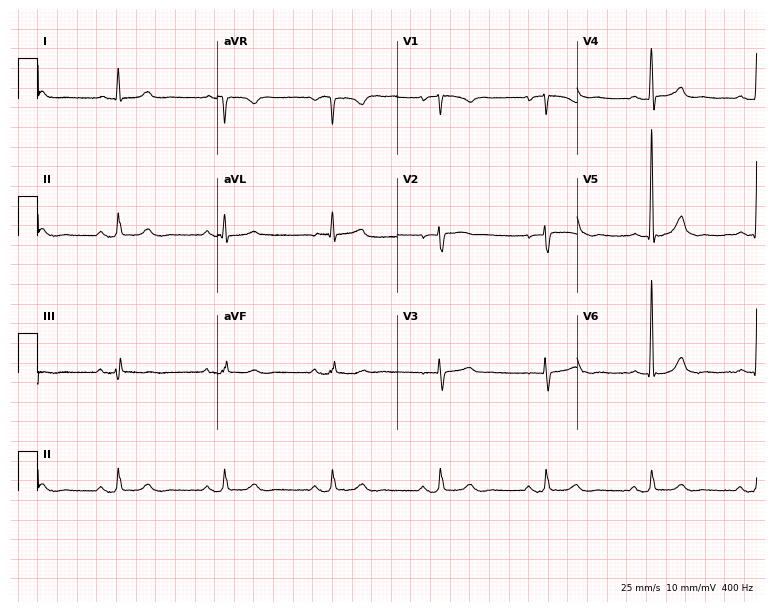
12-lead ECG (7.3-second recording at 400 Hz) from an 81-year-old woman. Screened for six findings — first-degree AV block, right bundle branch block, left bundle branch block, sinus bradycardia, atrial fibrillation, sinus tachycardia — none is recorded.